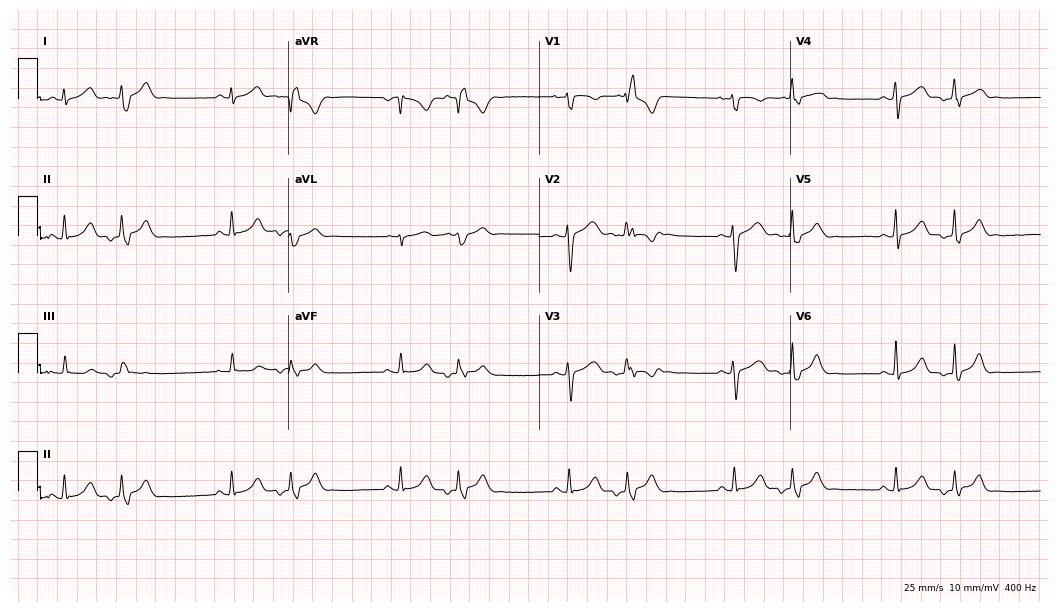
Standard 12-lead ECG recorded from an 18-year-old woman (10.2-second recording at 400 Hz). None of these six findings is recorded: first-degree AV block, right bundle branch block, left bundle branch block, sinus bradycardia, atrial fibrillation, sinus tachycardia. Only these six findings were labelled.